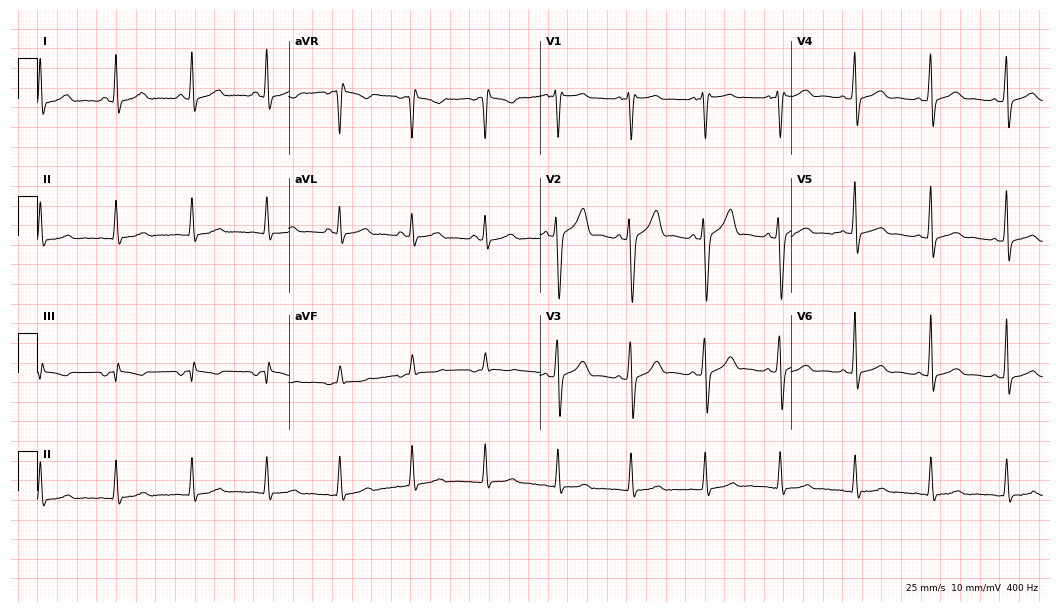
ECG (10.2-second recording at 400 Hz) — a male, 41 years old. Labelled as a normal ECG.